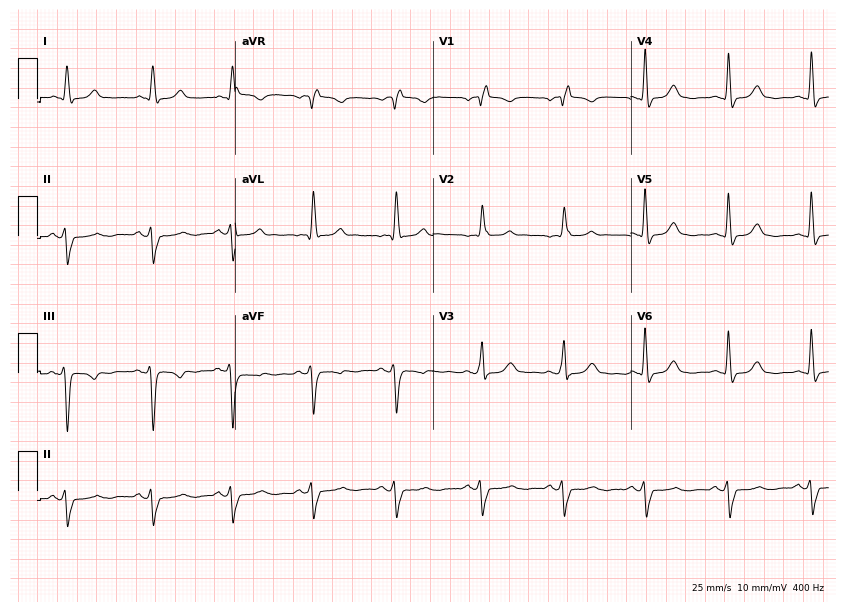
Electrocardiogram (8.1-second recording at 400 Hz), a female, 83 years old. Interpretation includes right bundle branch block (RBBB).